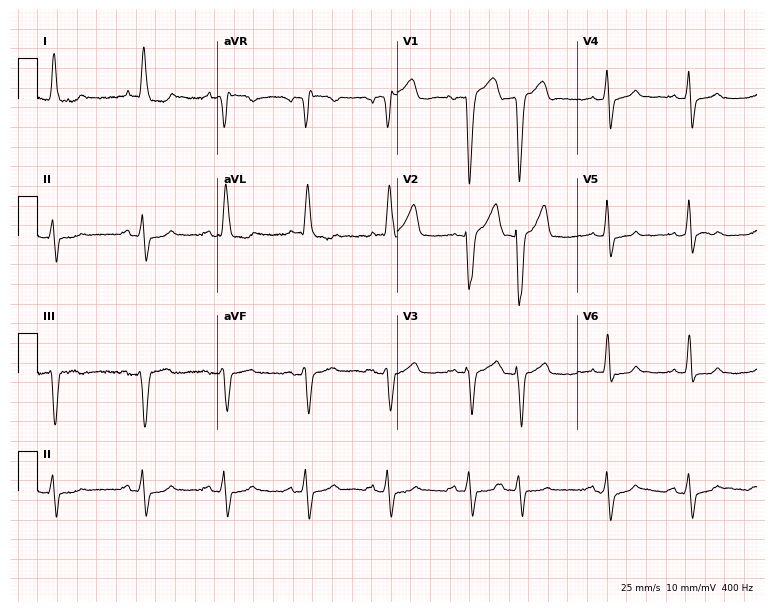
Electrocardiogram (7.3-second recording at 400 Hz), a male patient, 85 years old. Interpretation includes left bundle branch block (LBBB).